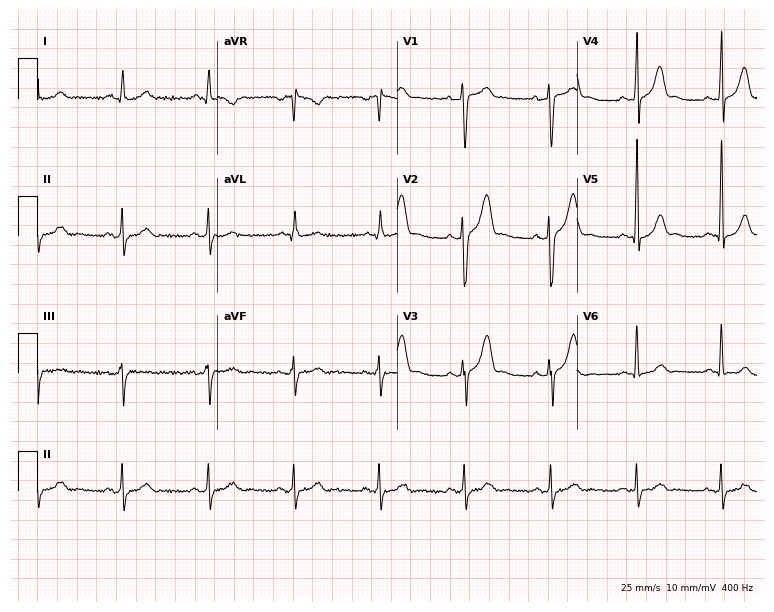
Standard 12-lead ECG recorded from a male, 40 years old. None of these six findings is recorded: first-degree AV block, right bundle branch block (RBBB), left bundle branch block (LBBB), sinus bradycardia, atrial fibrillation (AF), sinus tachycardia. Other findings, if any, are not listed.